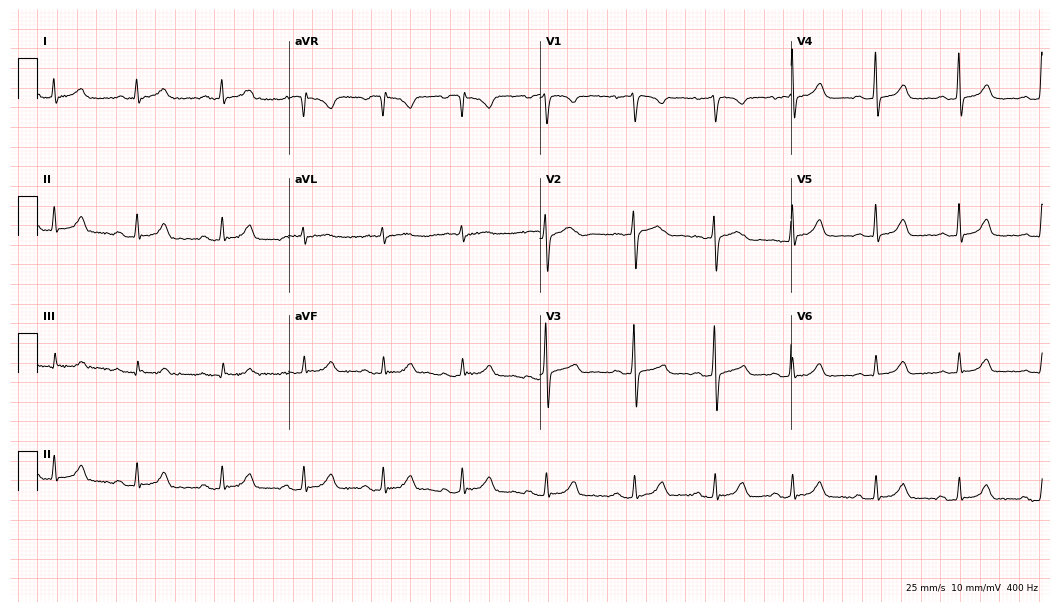
Resting 12-lead electrocardiogram (10.2-second recording at 400 Hz). Patient: a 46-year-old female. None of these six findings is recorded: first-degree AV block, right bundle branch block (RBBB), left bundle branch block (LBBB), sinus bradycardia, atrial fibrillation (AF), sinus tachycardia. Only these six findings were labelled.